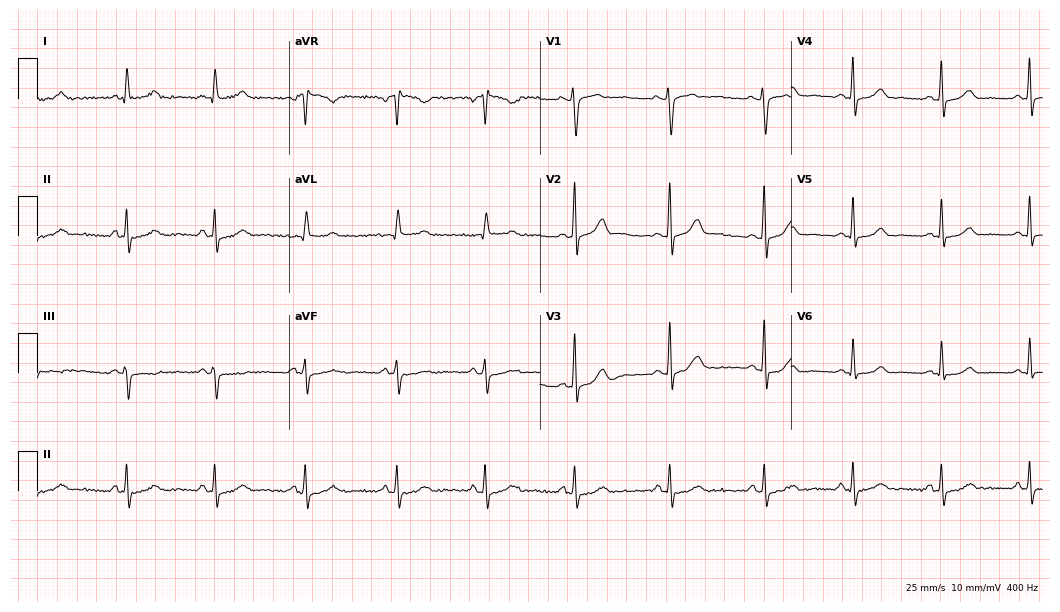
ECG (10.2-second recording at 400 Hz) — a woman, 43 years old. Labelled as a normal ECG.